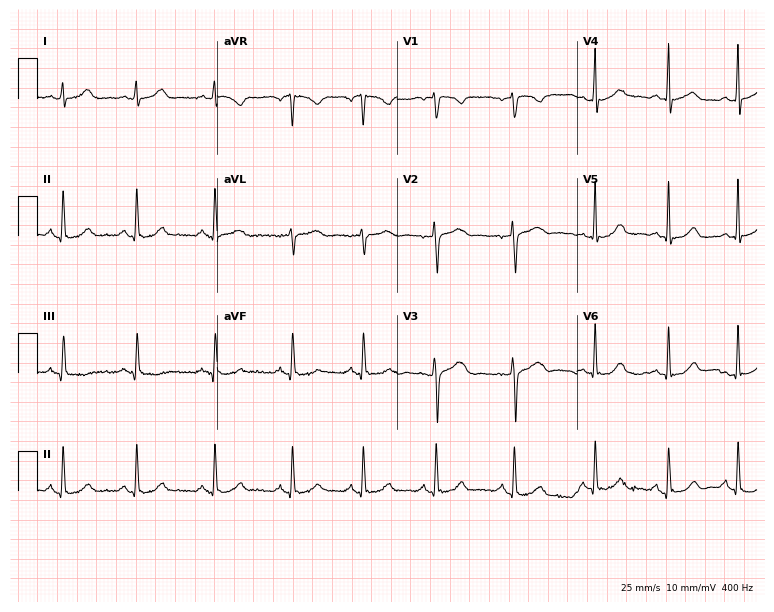
Resting 12-lead electrocardiogram (7.3-second recording at 400 Hz). Patient: a 20-year-old female. Read as a normal ECG.